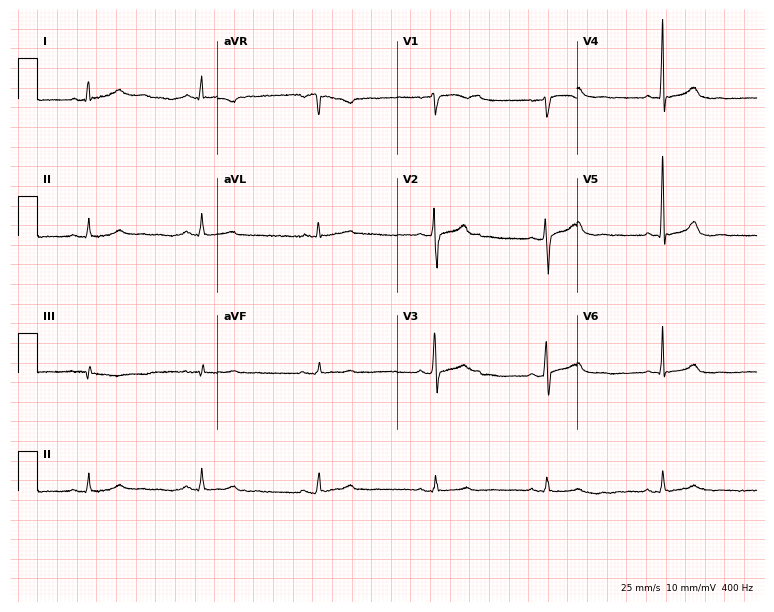
ECG (7.3-second recording at 400 Hz) — a 38-year-old female. Screened for six findings — first-degree AV block, right bundle branch block, left bundle branch block, sinus bradycardia, atrial fibrillation, sinus tachycardia — none is recorded.